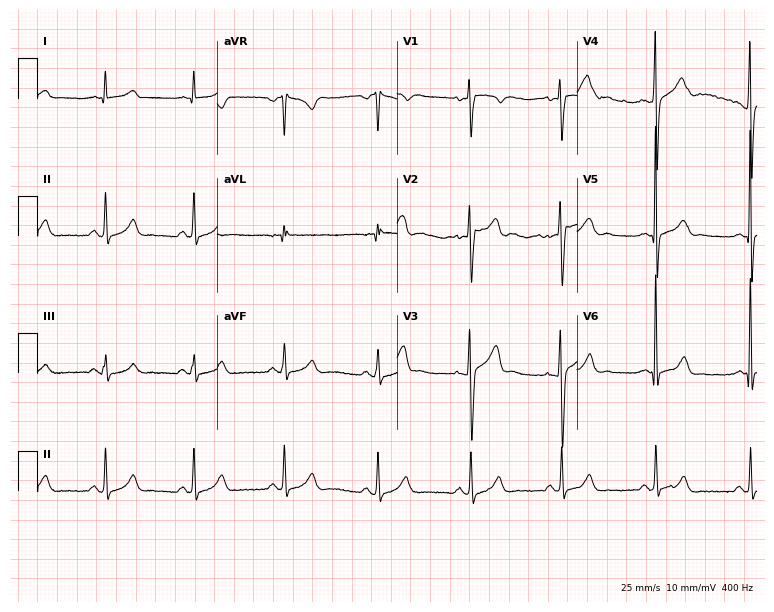
Standard 12-lead ECG recorded from a male patient, 47 years old (7.3-second recording at 400 Hz). None of these six findings is recorded: first-degree AV block, right bundle branch block, left bundle branch block, sinus bradycardia, atrial fibrillation, sinus tachycardia.